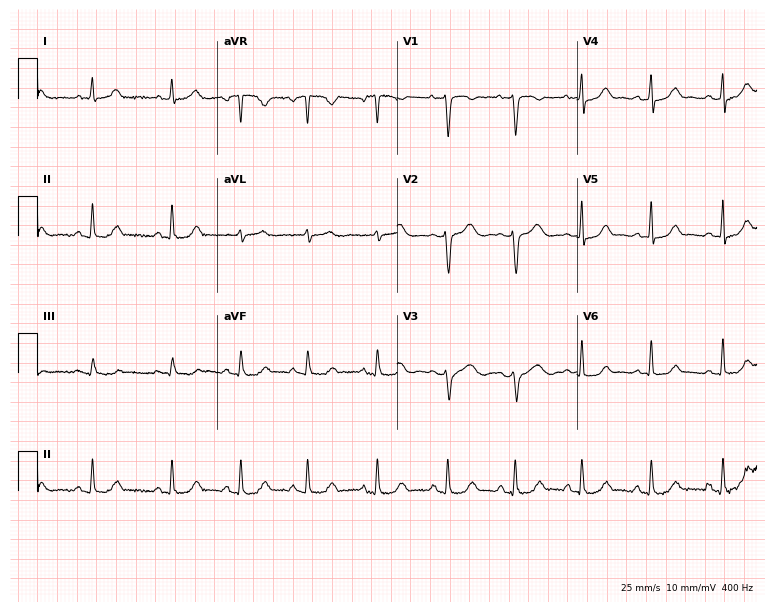
12-lead ECG from a woman, 27 years old. Screened for six findings — first-degree AV block, right bundle branch block (RBBB), left bundle branch block (LBBB), sinus bradycardia, atrial fibrillation (AF), sinus tachycardia — none is recorded. Other findings, if any, are not listed.